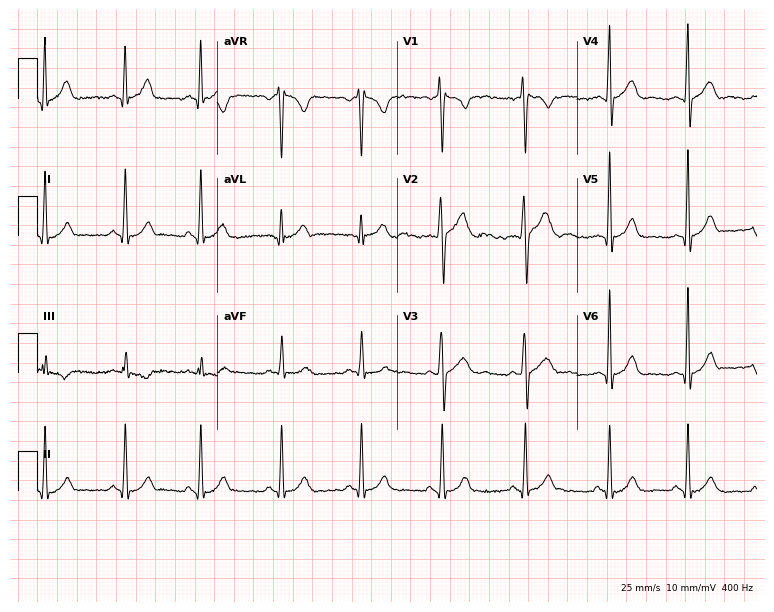
12-lead ECG from a man, 20 years old (7.3-second recording at 400 Hz). Recorded interpretation: within normal limits.